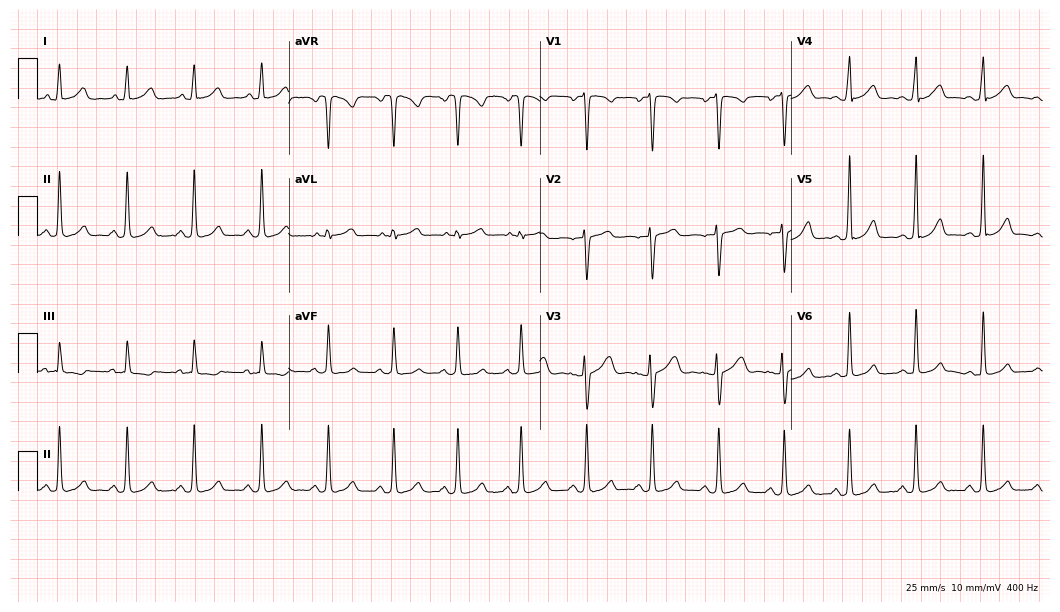
ECG (10.2-second recording at 400 Hz) — a woman, 22 years old. Labelled as a normal ECG.